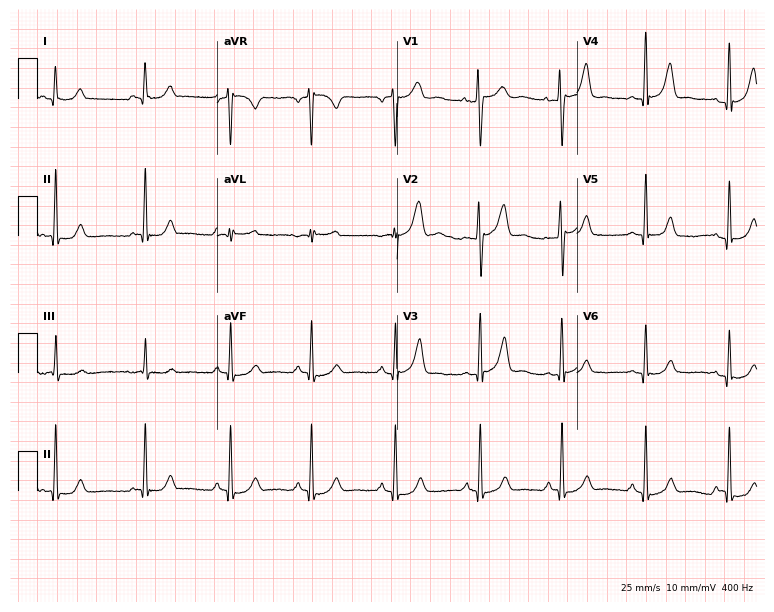
Resting 12-lead electrocardiogram. Patient: a 29-year-old female. None of these six findings is recorded: first-degree AV block, right bundle branch block, left bundle branch block, sinus bradycardia, atrial fibrillation, sinus tachycardia. Other findings, if any, are not listed.